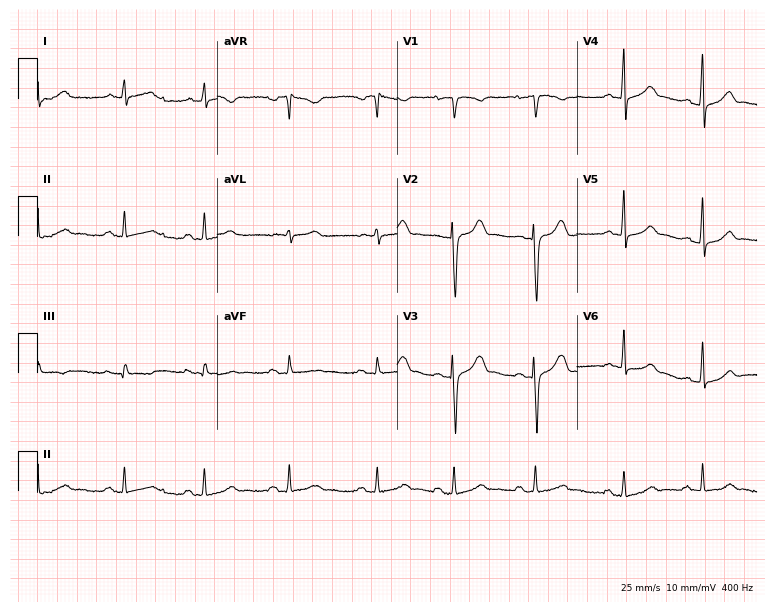
Electrocardiogram (7.3-second recording at 400 Hz), a 24-year-old woman. Overall reading on record: normal ECG.